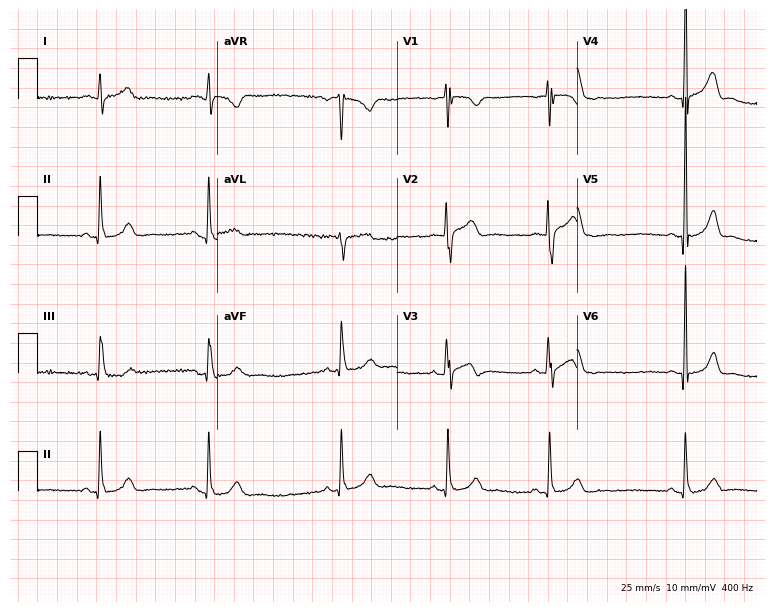
Standard 12-lead ECG recorded from a male patient, 26 years old (7.3-second recording at 400 Hz). None of these six findings is recorded: first-degree AV block, right bundle branch block (RBBB), left bundle branch block (LBBB), sinus bradycardia, atrial fibrillation (AF), sinus tachycardia.